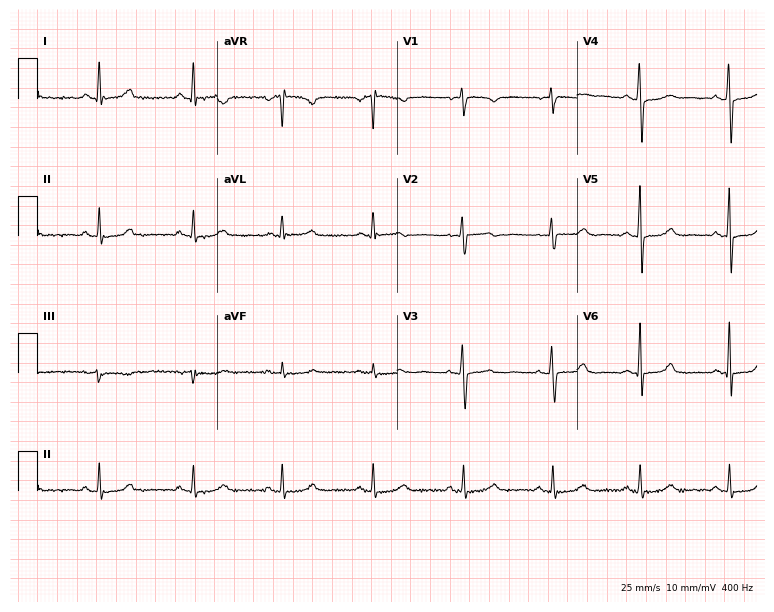
Resting 12-lead electrocardiogram (7.3-second recording at 400 Hz). Patient: a female, 42 years old. Read as a normal ECG.